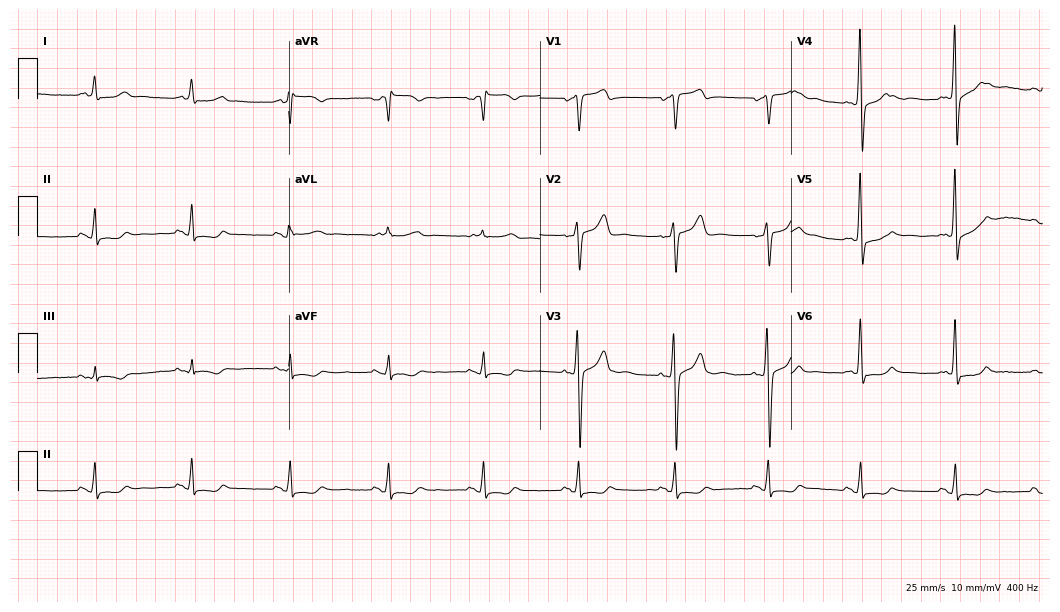
Electrocardiogram, a man, 59 years old. Of the six screened findings (first-degree AV block, right bundle branch block, left bundle branch block, sinus bradycardia, atrial fibrillation, sinus tachycardia), none is recorded.